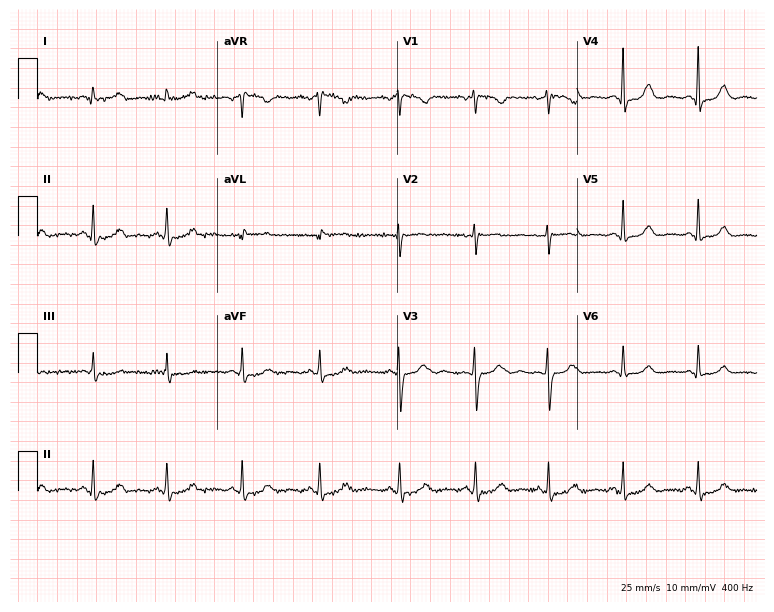
ECG — a 38-year-old female patient. Screened for six findings — first-degree AV block, right bundle branch block, left bundle branch block, sinus bradycardia, atrial fibrillation, sinus tachycardia — none is recorded. Findings outside these six are not listed.